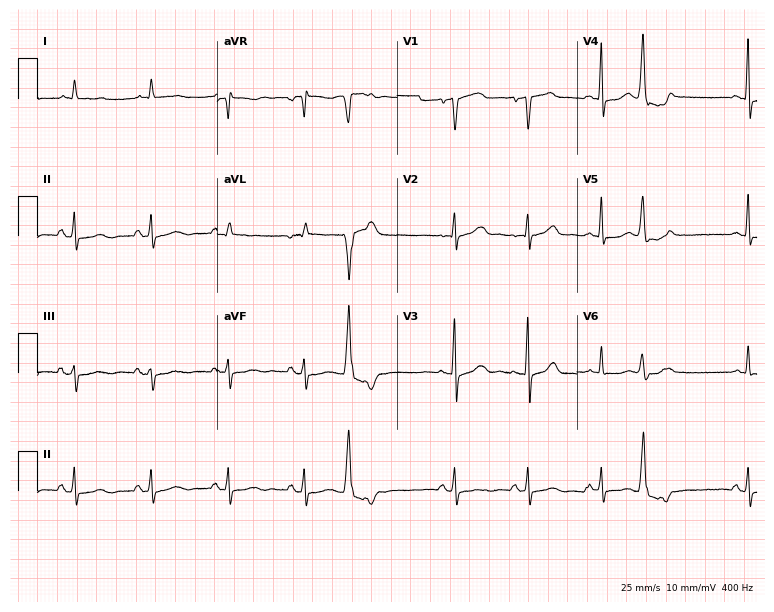
ECG — a female patient, 83 years old. Screened for six findings — first-degree AV block, right bundle branch block, left bundle branch block, sinus bradycardia, atrial fibrillation, sinus tachycardia — none is recorded.